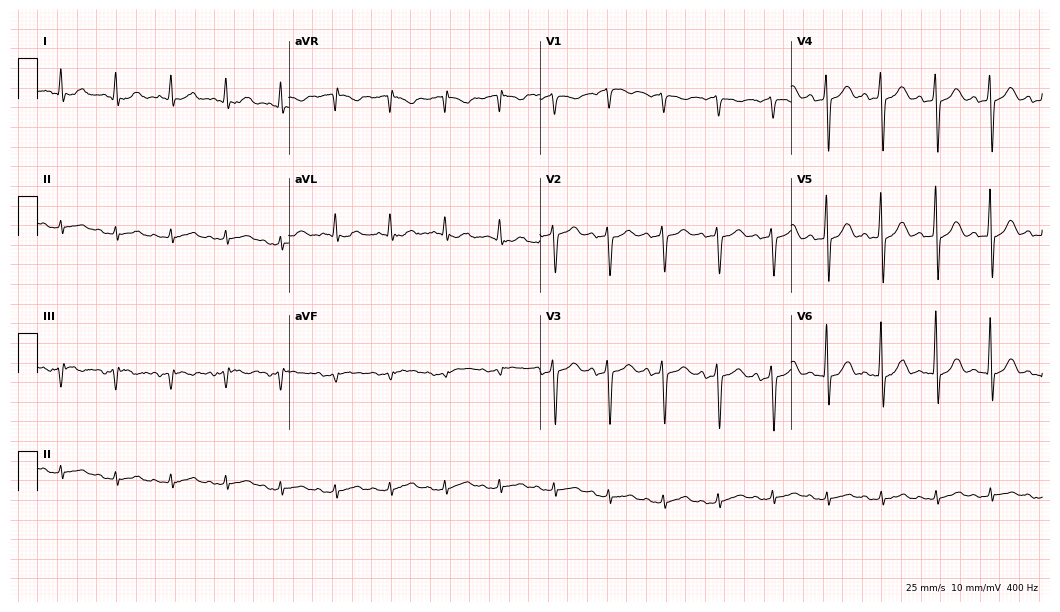
Electrocardiogram (10.2-second recording at 400 Hz), a man, 83 years old. Of the six screened findings (first-degree AV block, right bundle branch block, left bundle branch block, sinus bradycardia, atrial fibrillation, sinus tachycardia), none is recorded.